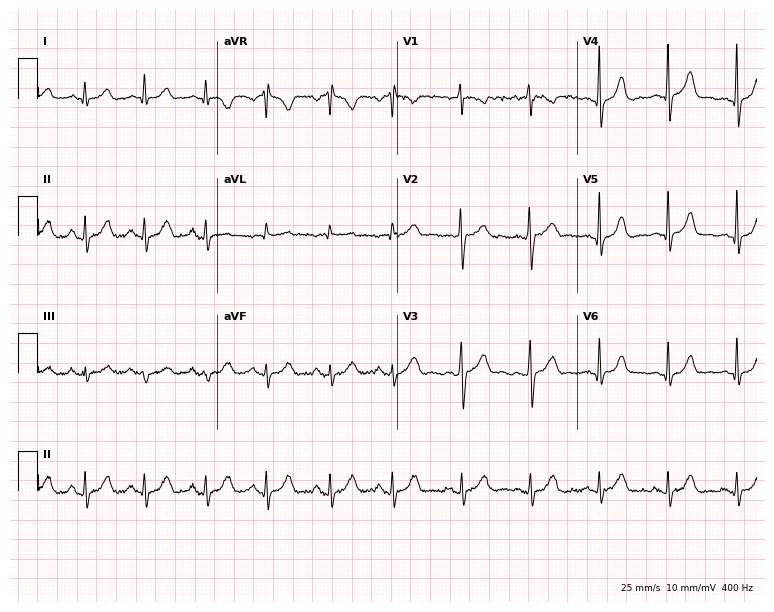
Standard 12-lead ECG recorded from a 30-year-old female patient. Read as a normal ECG.